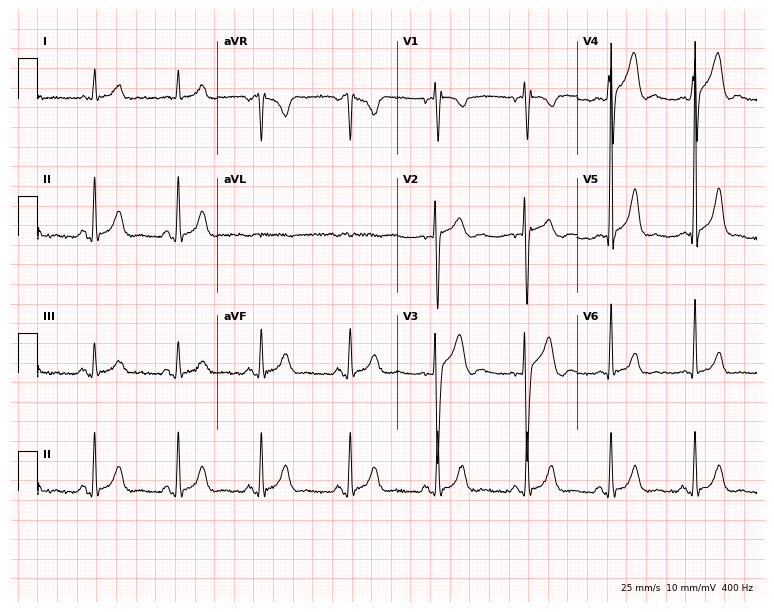
ECG — a 25-year-old woman. Screened for six findings — first-degree AV block, right bundle branch block, left bundle branch block, sinus bradycardia, atrial fibrillation, sinus tachycardia — none is recorded.